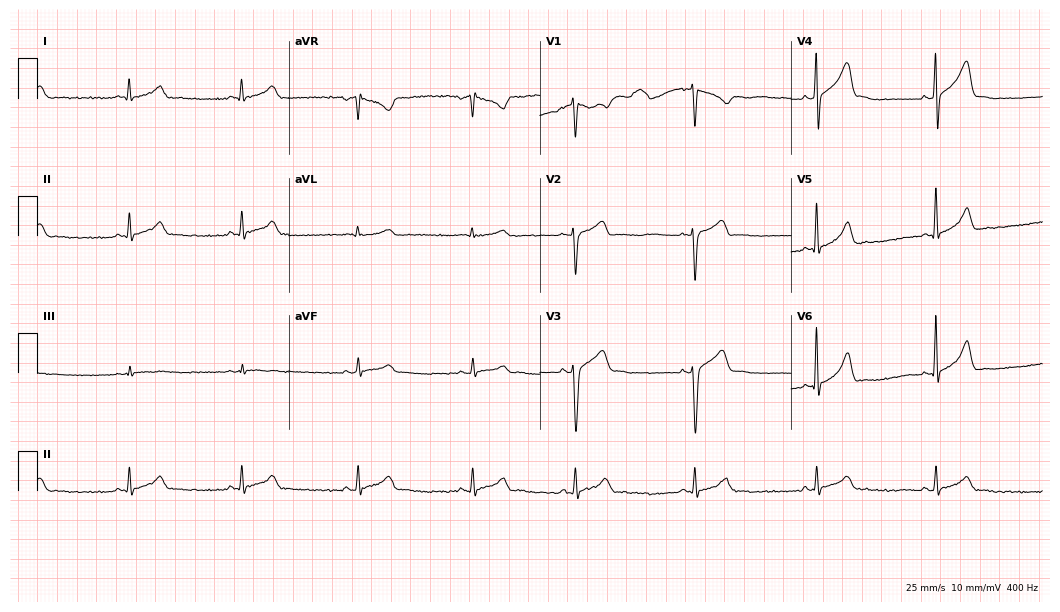
Resting 12-lead electrocardiogram. Patient: a 33-year-old male. Read as a normal ECG.